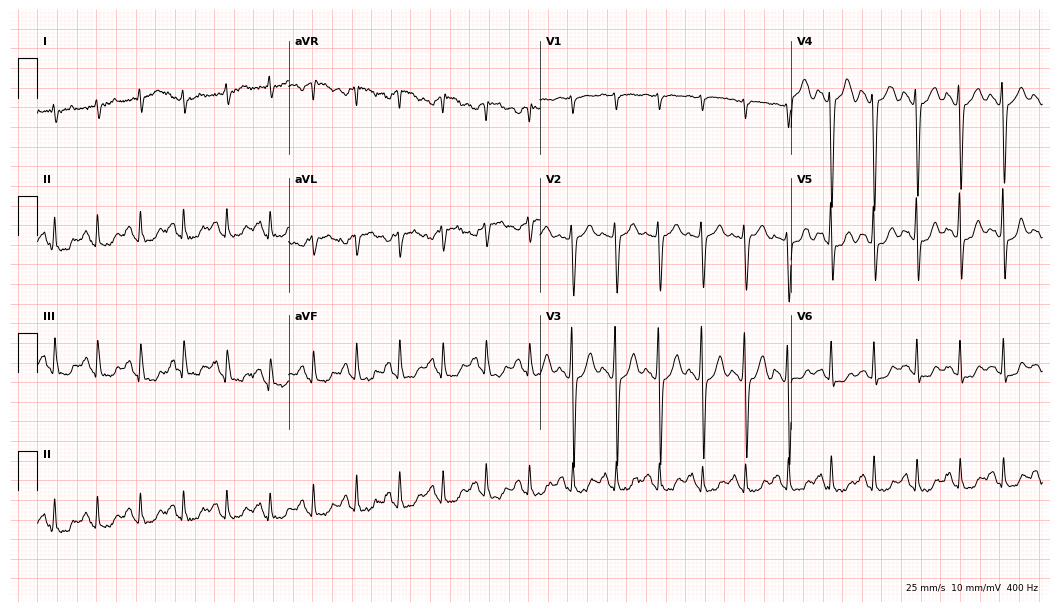
ECG — a 62-year-old man. Findings include sinus tachycardia (a sinus rate of 100 beats per minute or more).